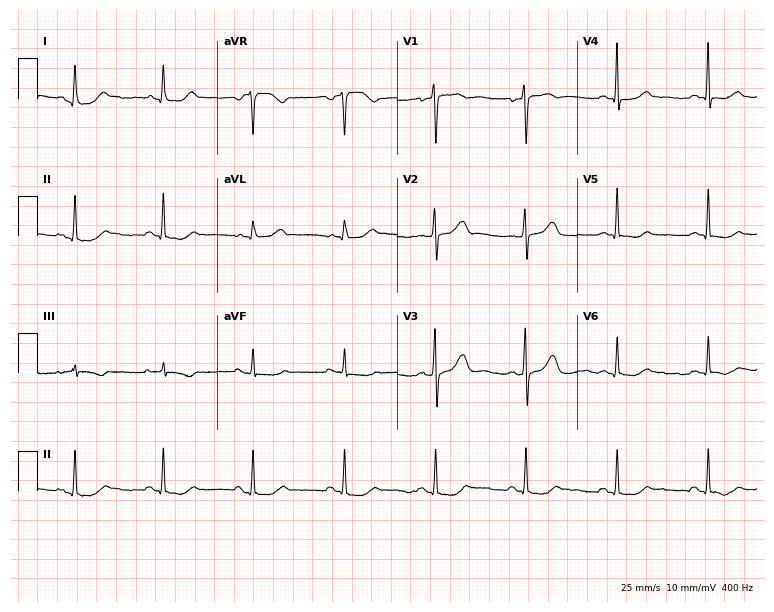
Resting 12-lead electrocardiogram (7.3-second recording at 400 Hz). Patient: a female, 53 years old. None of these six findings is recorded: first-degree AV block, right bundle branch block (RBBB), left bundle branch block (LBBB), sinus bradycardia, atrial fibrillation (AF), sinus tachycardia. Findings outside these six are not listed.